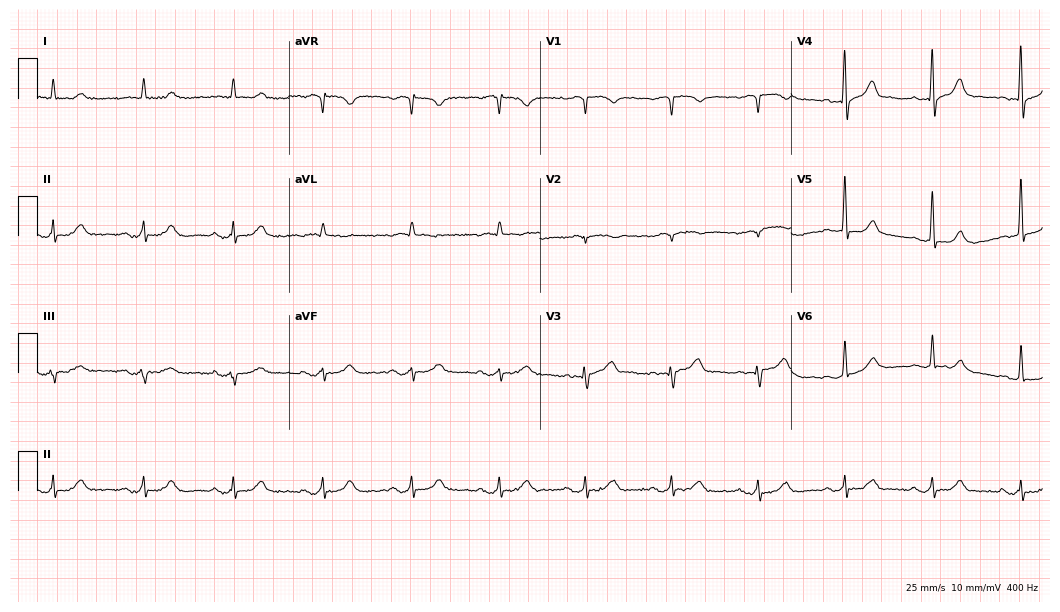
Electrocardiogram, a male, 87 years old. Overall reading on record: normal ECG.